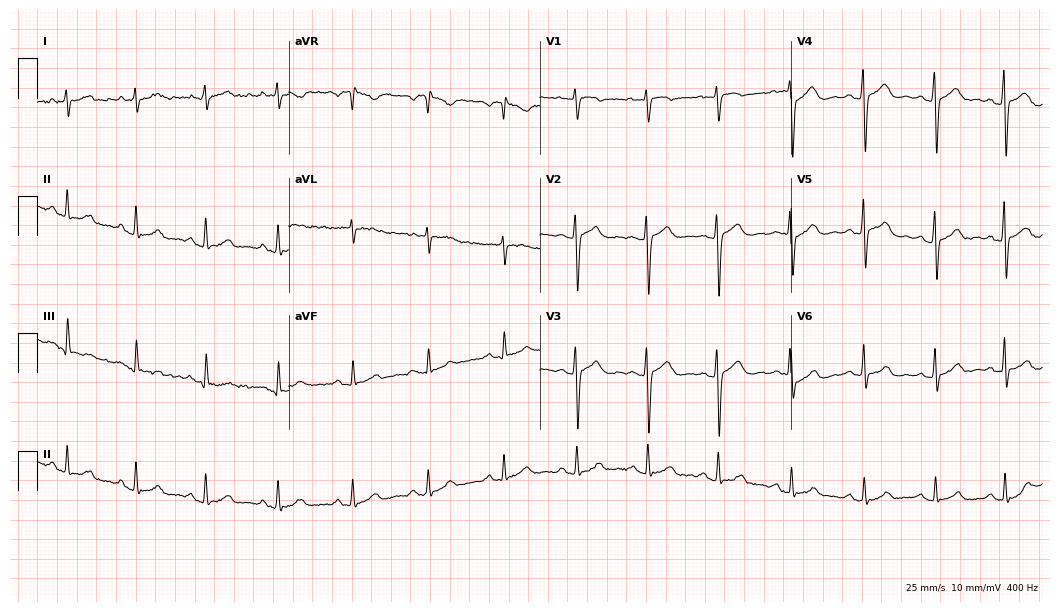
Standard 12-lead ECG recorded from a man, 66 years old. Read as a normal ECG.